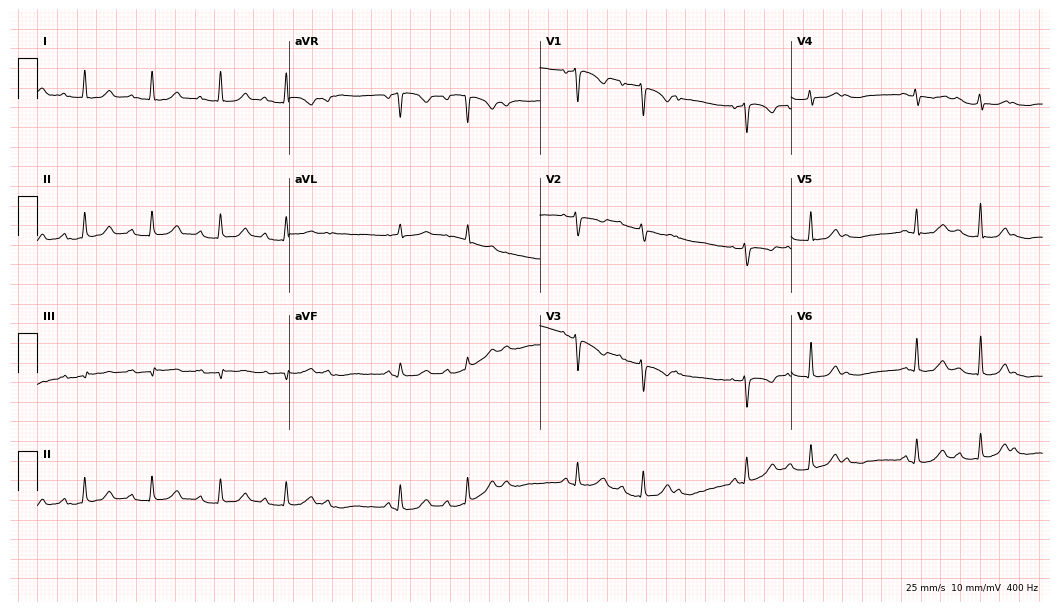
12-lead ECG from a man, 46 years old. Shows first-degree AV block.